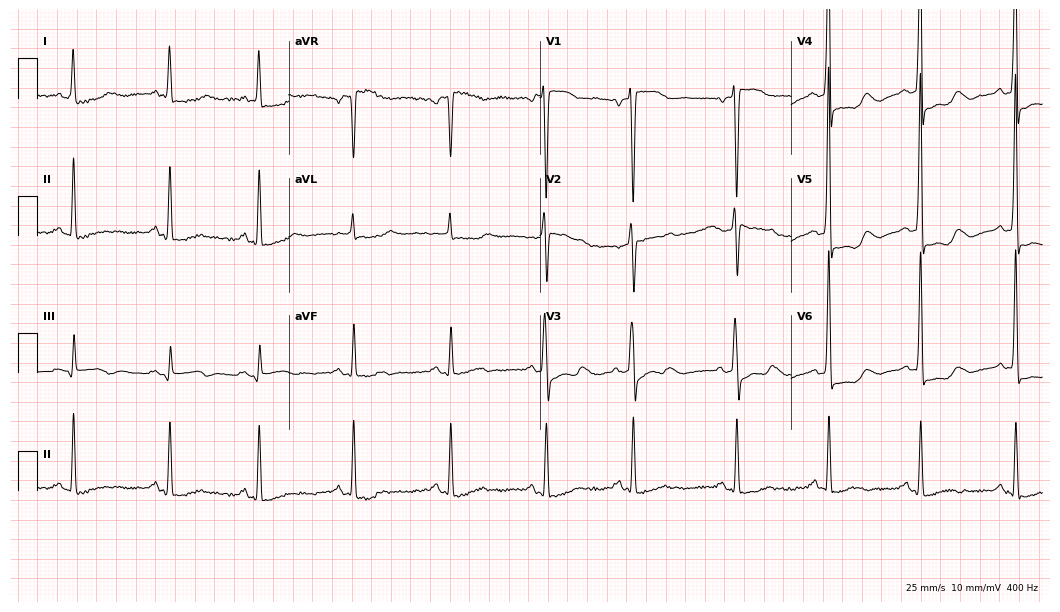
ECG — a 55-year-old woman. Screened for six findings — first-degree AV block, right bundle branch block, left bundle branch block, sinus bradycardia, atrial fibrillation, sinus tachycardia — none is recorded.